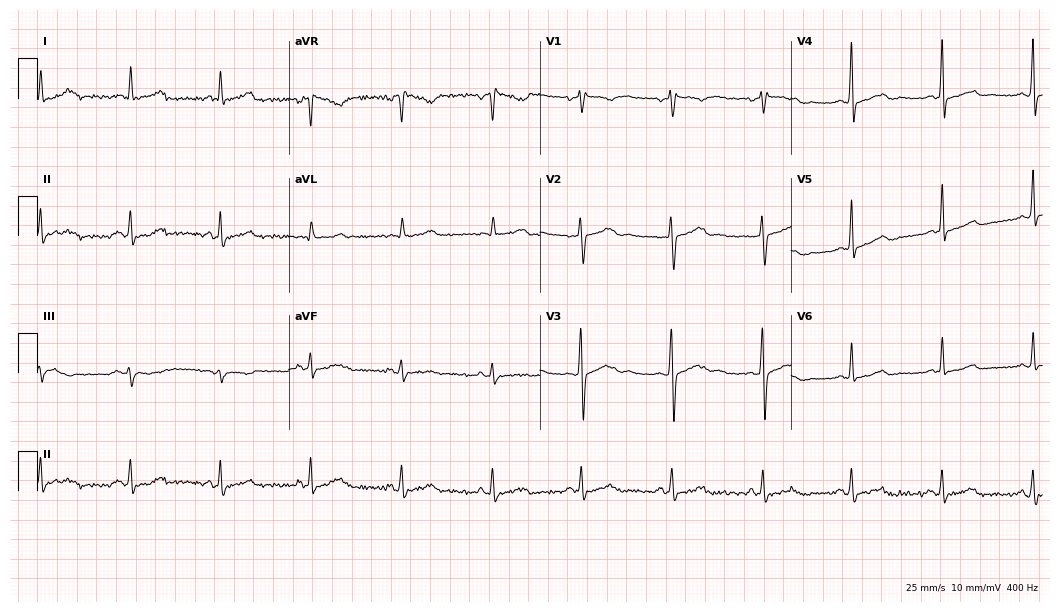
Electrocardiogram (10.2-second recording at 400 Hz), a female patient, 42 years old. Of the six screened findings (first-degree AV block, right bundle branch block, left bundle branch block, sinus bradycardia, atrial fibrillation, sinus tachycardia), none is recorded. Findings outside these six are not listed.